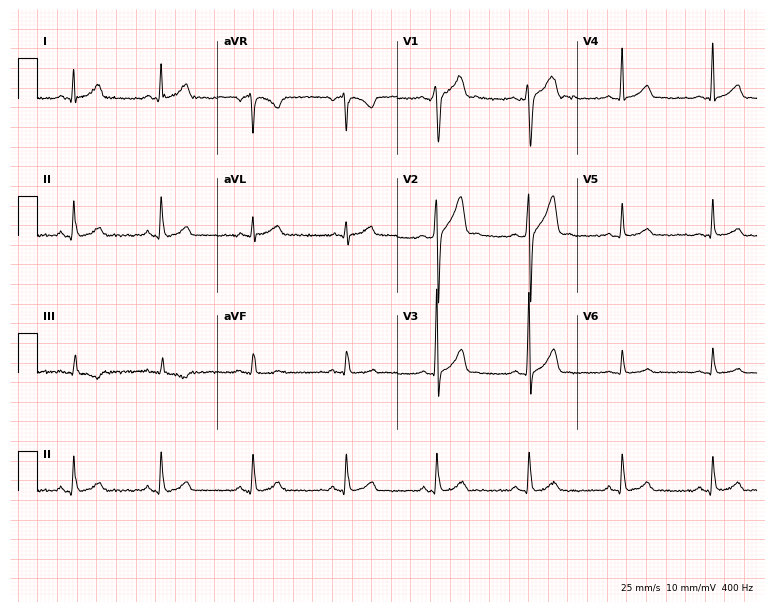
Electrocardiogram (7.3-second recording at 400 Hz), a male patient, 21 years old. Of the six screened findings (first-degree AV block, right bundle branch block, left bundle branch block, sinus bradycardia, atrial fibrillation, sinus tachycardia), none is recorded.